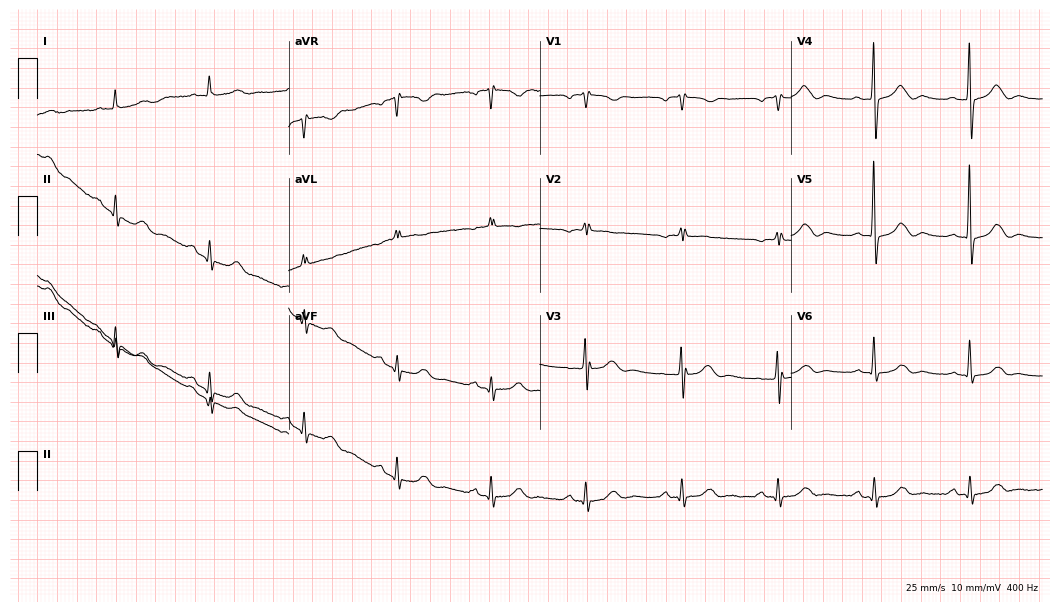
12-lead ECG from a 76-year-old female patient. Screened for six findings — first-degree AV block, right bundle branch block, left bundle branch block, sinus bradycardia, atrial fibrillation, sinus tachycardia — none is recorded. Only these six findings were labelled.